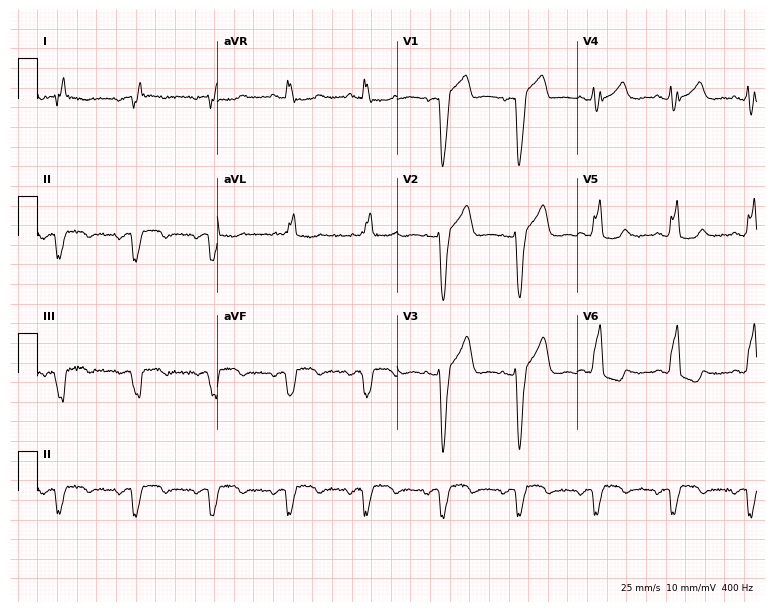
12-lead ECG (7.3-second recording at 400 Hz) from a 64-year-old male patient. Findings include left bundle branch block.